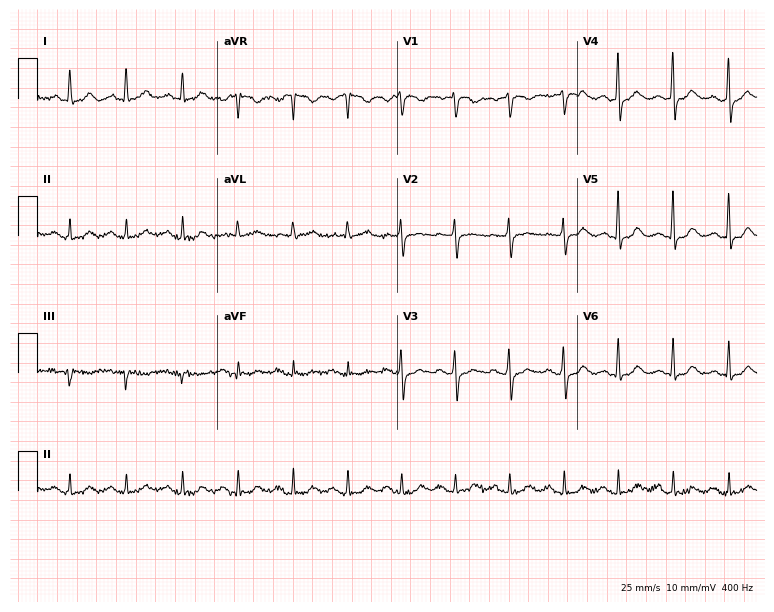
ECG (7.3-second recording at 400 Hz) — a woman, 58 years old. Screened for six findings — first-degree AV block, right bundle branch block, left bundle branch block, sinus bradycardia, atrial fibrillation, sinus tachycardia — none is recorded.